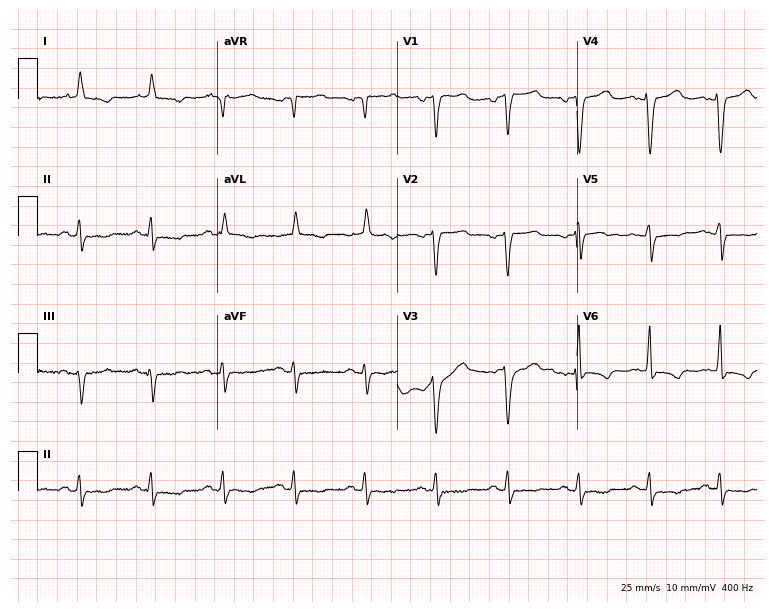
Electrocardiogram, a 68-year-old male patient. Of the six screened findings (first-degree AV block, right bundle branch block, left bundle branch block, sinus bradycardia, atrial fibrillation, sinus tachycardia), none is recorded. Findings outside these six are not listed.